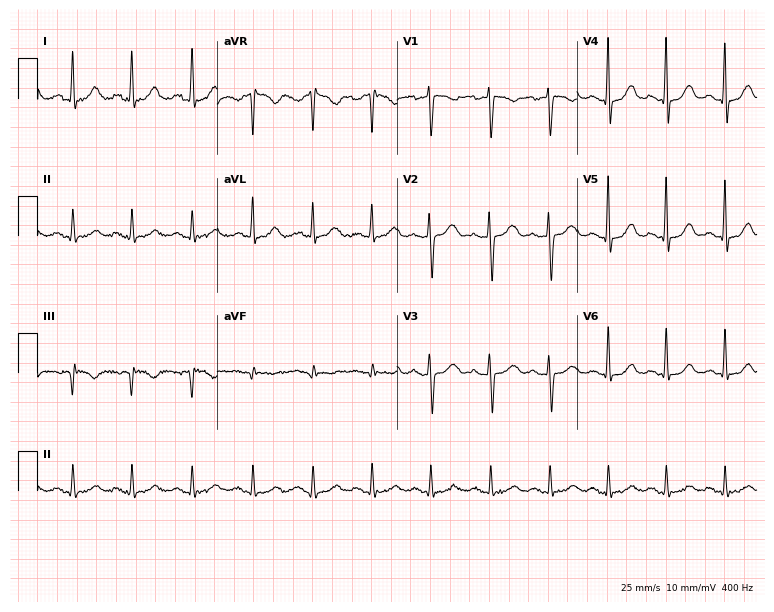
Electrocardiogram (7.3-second recording at 400 Hz), a female patient, 48 years old. Overall reading on record: normal ECG.